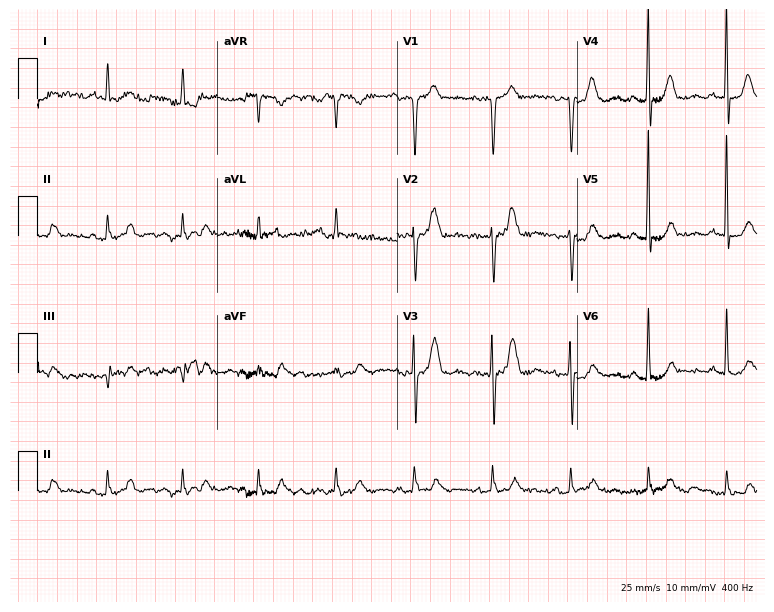
Resting 12-lead electrocardiogram (7.3-second recording at 400 Hz). Patient: a female, 84 years old. None of these six findings is recorded: first-degree AV block, right bundle branch block, left bundle branch block, sinus bradycardia, atrial fibrillation, sinus tachycardia.